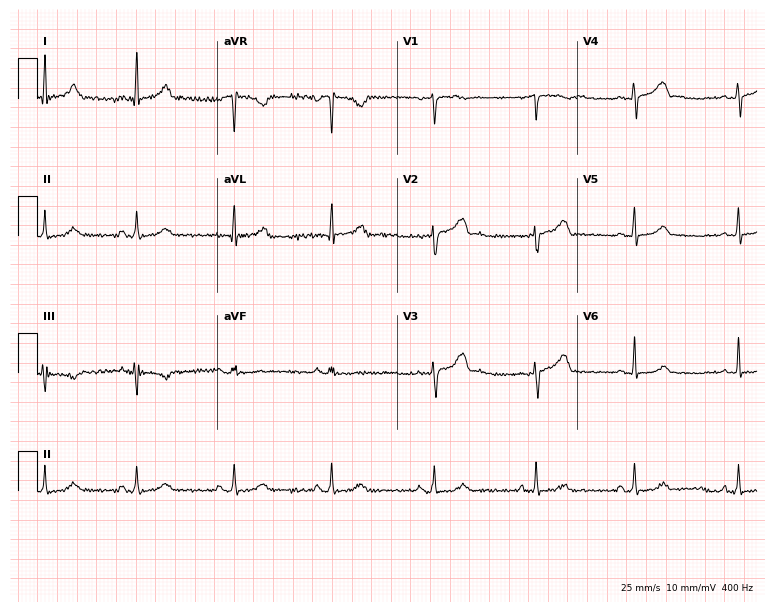
ECG (7.3-second recording at 400 Hz) — a 27-year-old woman. Screened for six findings — first-degree AV block, right bundle branch block, left bundle branch block, sinus bradycardia, atrial fibrillation, sinus tachycardia — none is recorded.